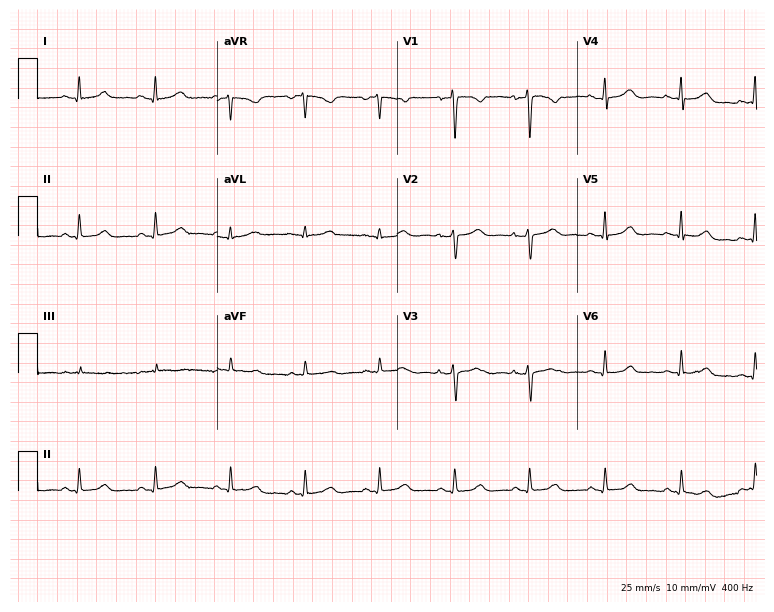
Electrocardiogram, a woman, 45 years old. Overall reading on record: normal ECG.